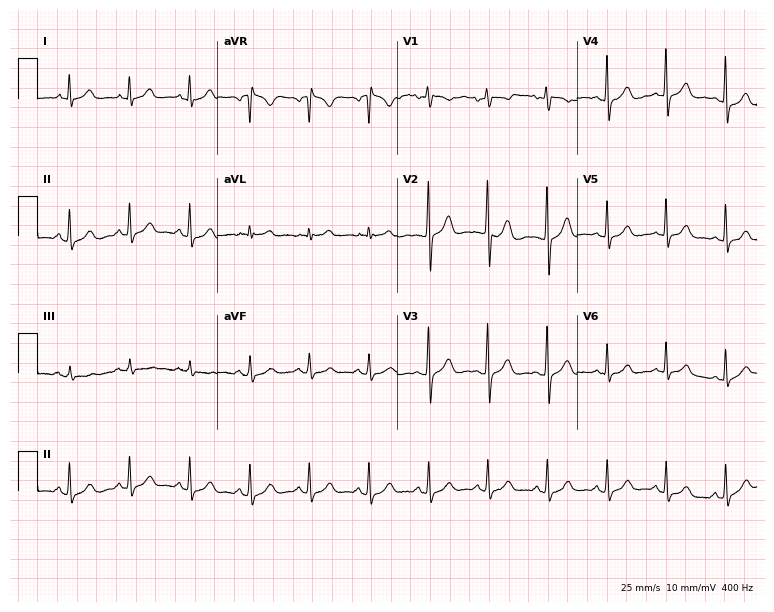
Resting 12-lead electrocardiogram (7.3-second recording at 400 Hz). Patient: a 40-year-old female. Read as a normal ECG.